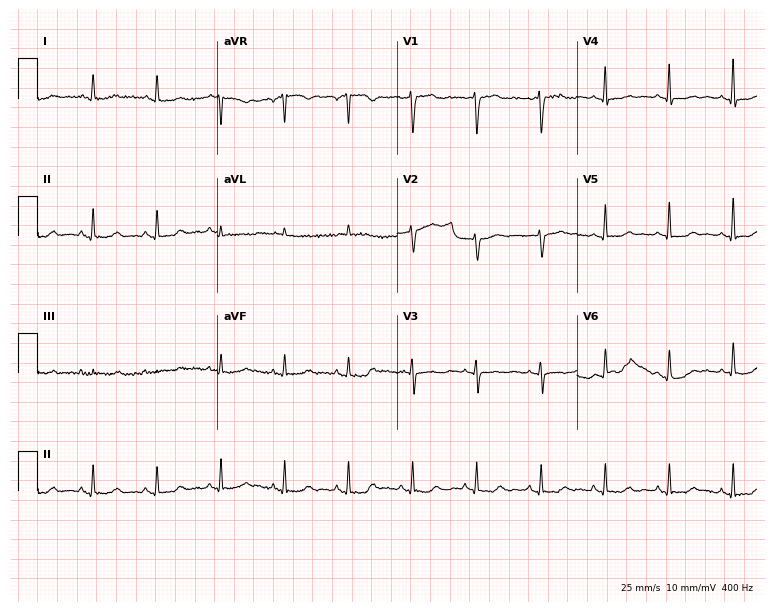
Standard 12-lead ECG recorded from a woman, 83 years old. None of these six findings is recorded: first-degree AV block, right bundle branch block, left bundle branch block, sinus bradycardia, atrial fibrillation, sinus tachycardia. Only these six findings were labelled.